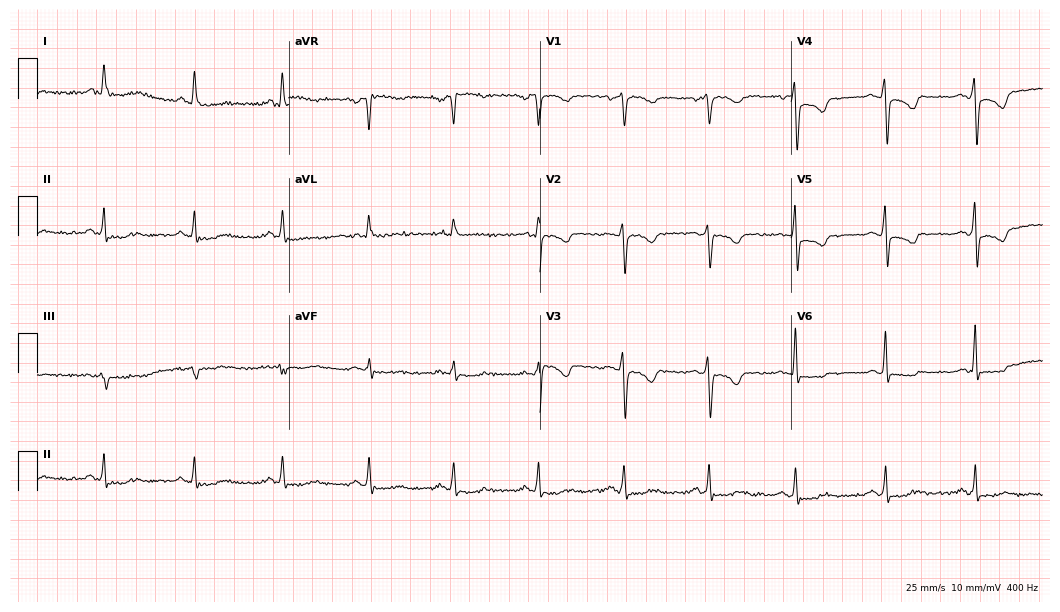
12-lead ECG (10.2-second recording at 400 Hz) from a 60-year-old female. Screened for six findings — first-degree AV block, right bundle branch block, left bundle branch block, sinus bradycardia, atrial fibrillation, sinus tachycardia — none is recorded. Other findings, if any, are not listed.